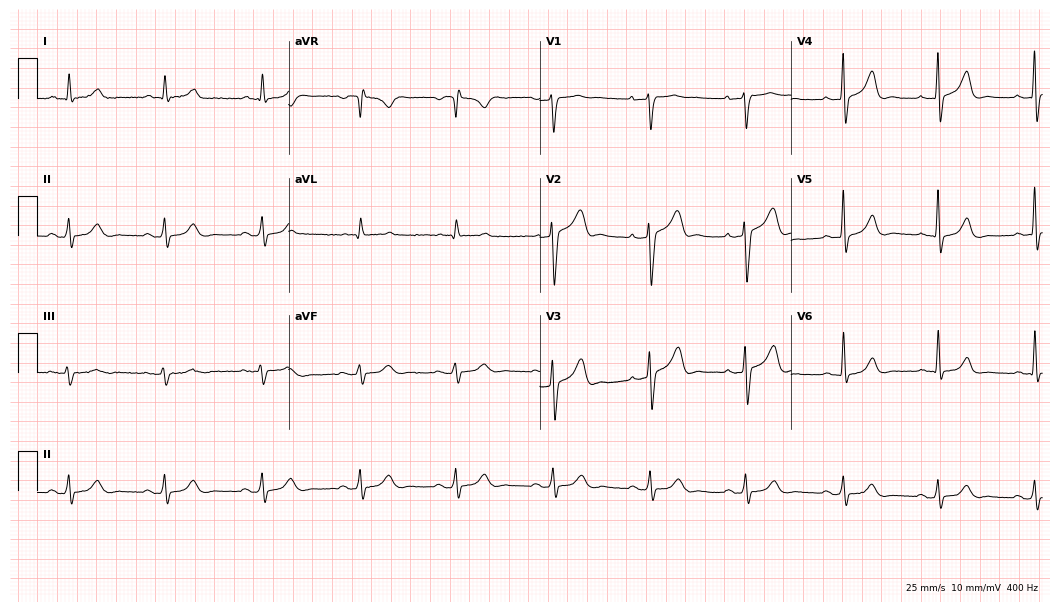
Resting 12-lead electrocardiogram. Patient: a man, 78 years old. Read as a normal ECG.